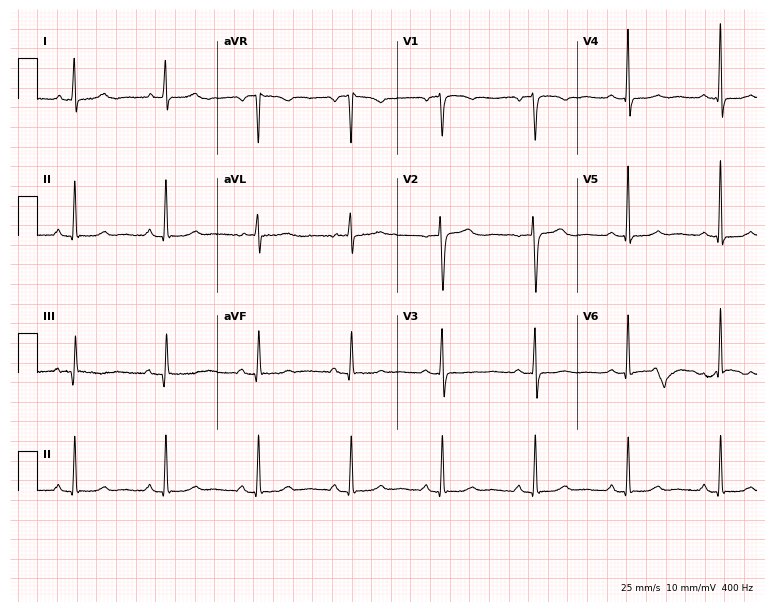
Standard 12-lead ECG recorded from a 67-year-old woman (7.3-second recording at 400 Hz). None of these six findings is recorded: first-degree AV block, right bundle branch block, left bundle branch block, sinus bradycardia, atrial fibrillation, sinus tachycardia. Findings outside these six are not listed.